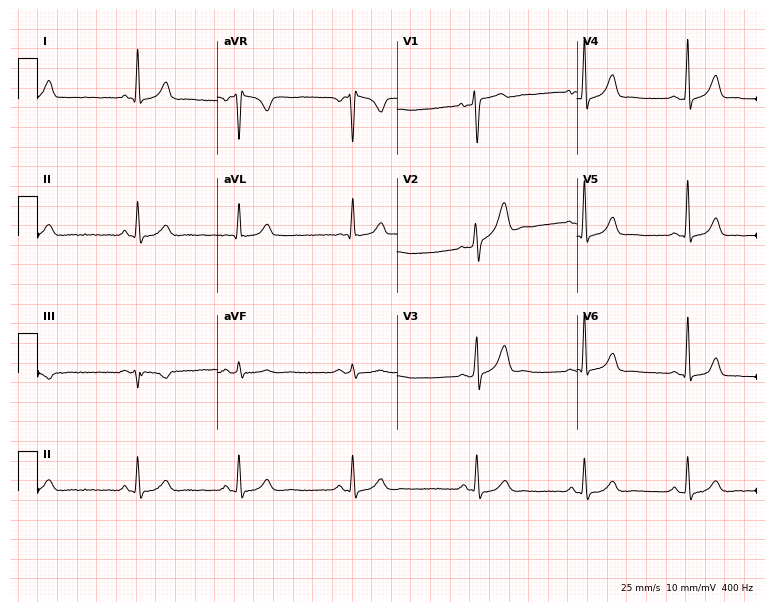
ECG — a male patient, 33 years old. Screened for six findings — first-degree AV block, right bundle branch block (RBBB), left bundle branch block (LBBB), sinus bradycardia, atrial fibrillation (AF), sinus tachycardia — none is recorded. Only these six findings were labelled.